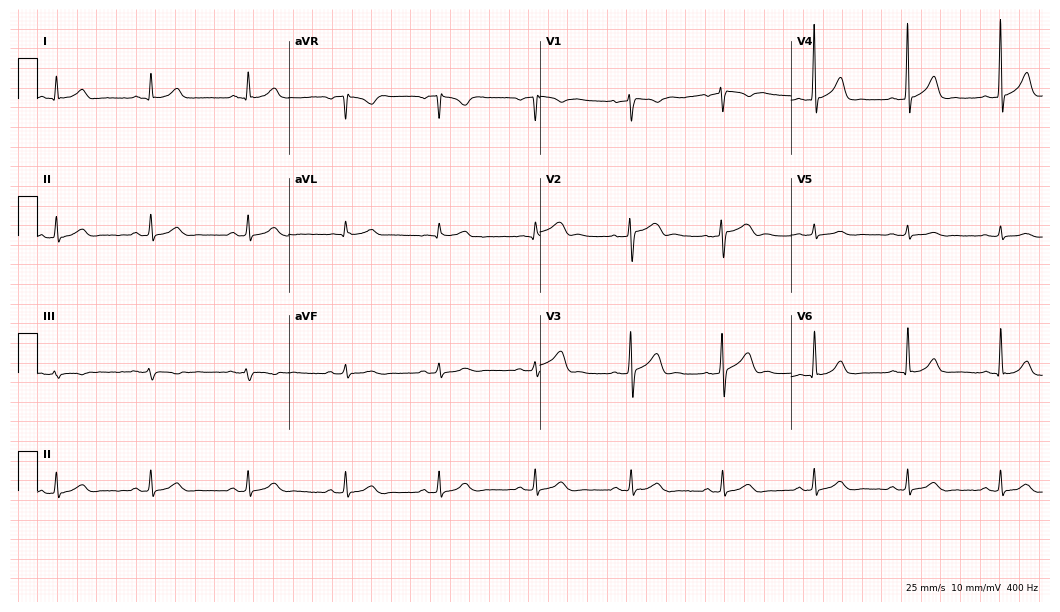
Resting 12-lead electrocardiogram. Patient: a 43-year-old male. Read as a normal ECG.